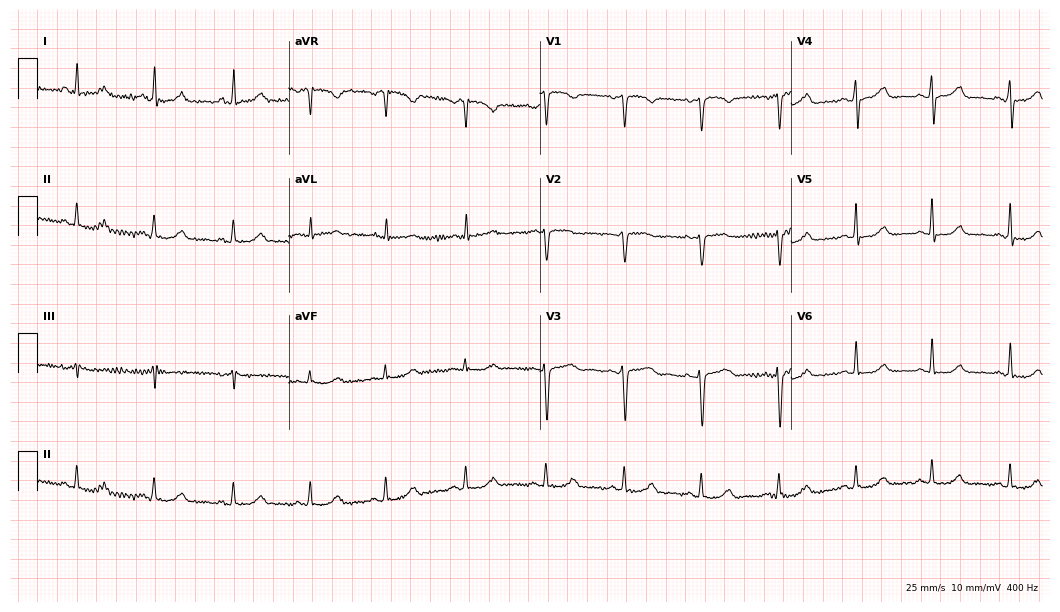
Standard 12-lead ECG recorded from a female, 50 years old (10.2-second recording at 400 Hz). None of these six findings is recorded: first-degree AV block, right bundle branch block (RBBB), left bundle branch block (LBBB), sinus bradycardia, atrial fibrillation (AF), sinus tachycardia. Findings outside these six are not listed.